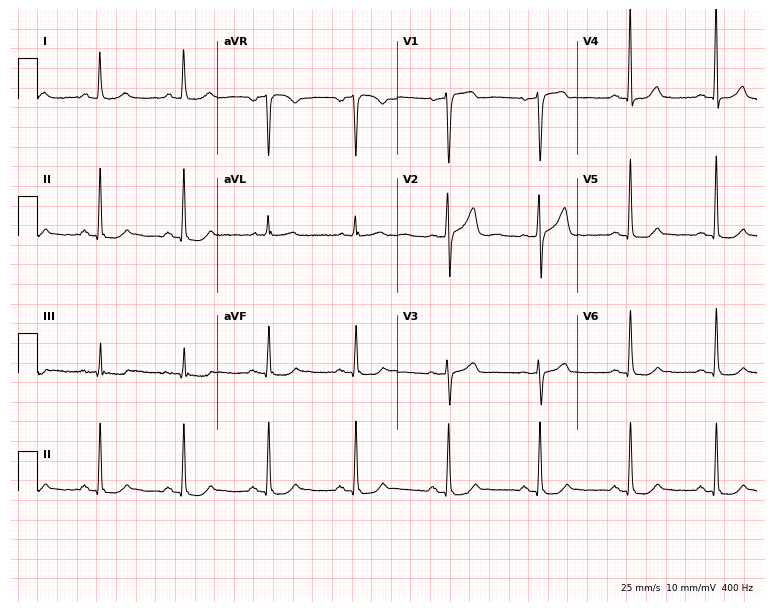
Resting 12-lead electrocardiogram. Patient: a female, 54 years old. None of these six findings is recorded: first-degree AV block, right bundle branch block, left bundle branch block, sinus bradycardia, atrial fibrillation, sinus tachycardia.